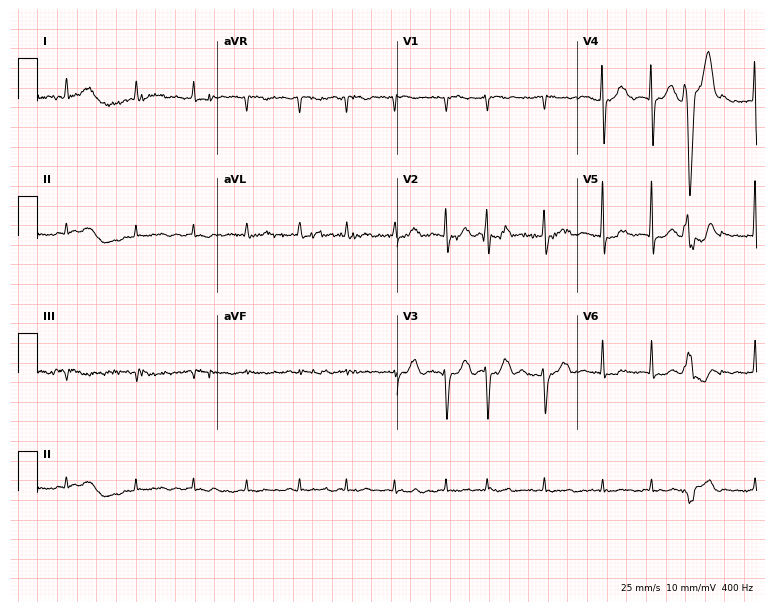
12-lead ECG from a woman, 70 years old (7.3-second recording at 400 Hz). Shows atrial fibrillation.